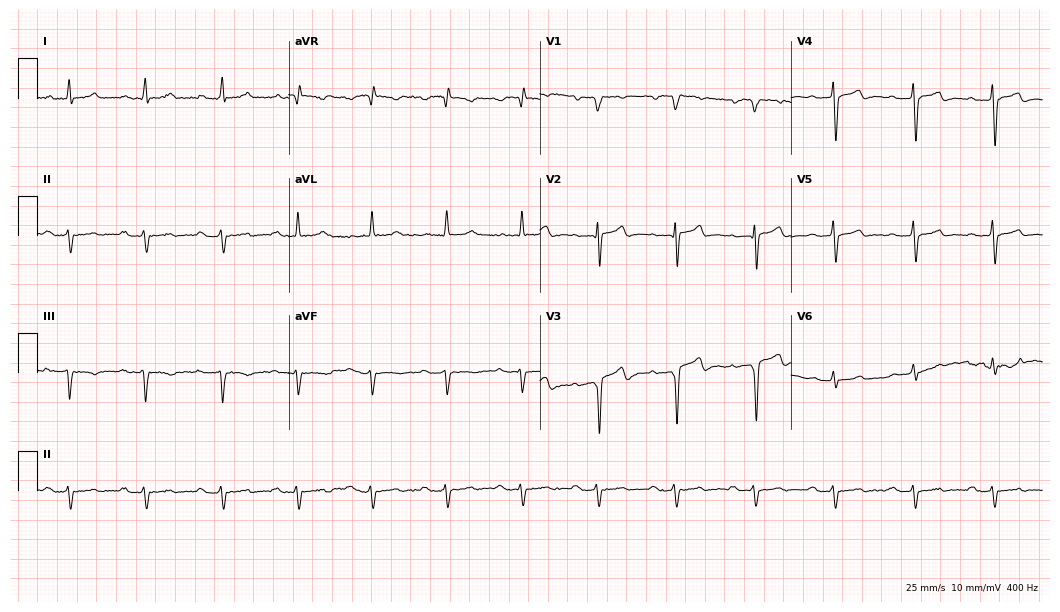
12-lead ECG from a 74-year-old male (10.2-second recording at 400 Hz). Shows first-degree AV block.